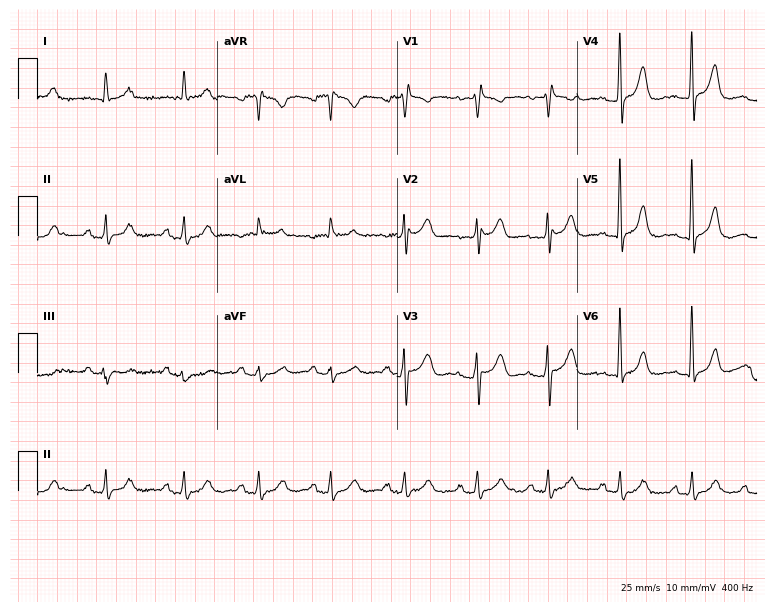
Electrocardiogram (7.3-second recording at 400 Hz), a 75-year-old female patient. Of the six screened findings (first-degree AV block, right bundle branch block, left bundle branch block, sinus bradycardia, atrial fibrillation, sinus tachycardia), none is recorded.